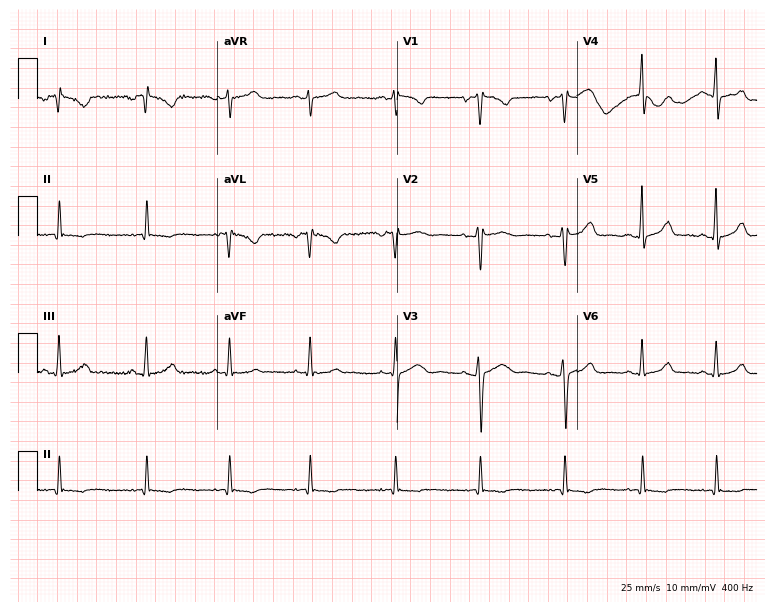
Electrocardiogram (7.3-second recording at 400 Hz), a woman, 28 years old. Of the six screened findings (first-degree AV block, right bundle branch block, left bundle branch block, sinus bradycardia, atrial fibrillation, sinus tachycardia), none is recorded. Only these six findings were labelled.